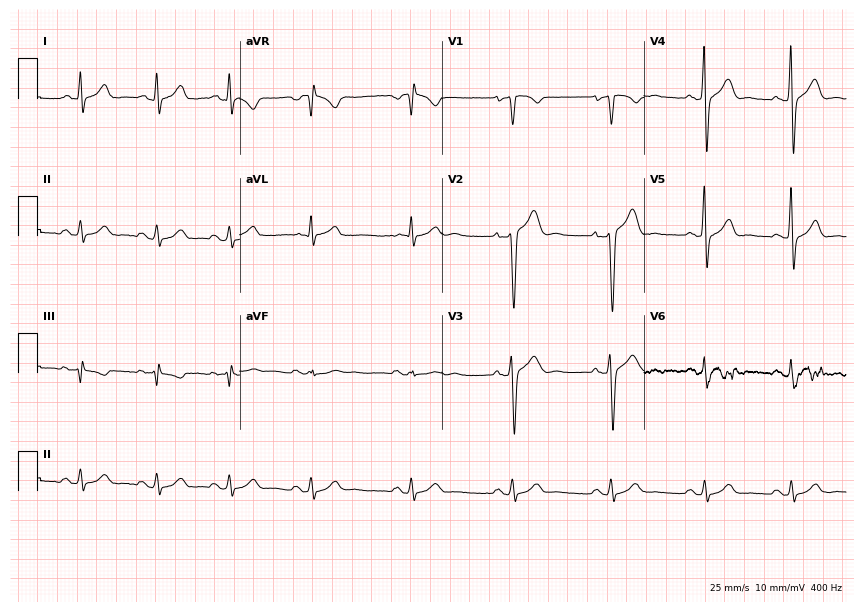
Standard 12-lead ECG recorded from a 33-year-old male patient (8.2-second recording at 400 Hz). Read as a normal ECG.